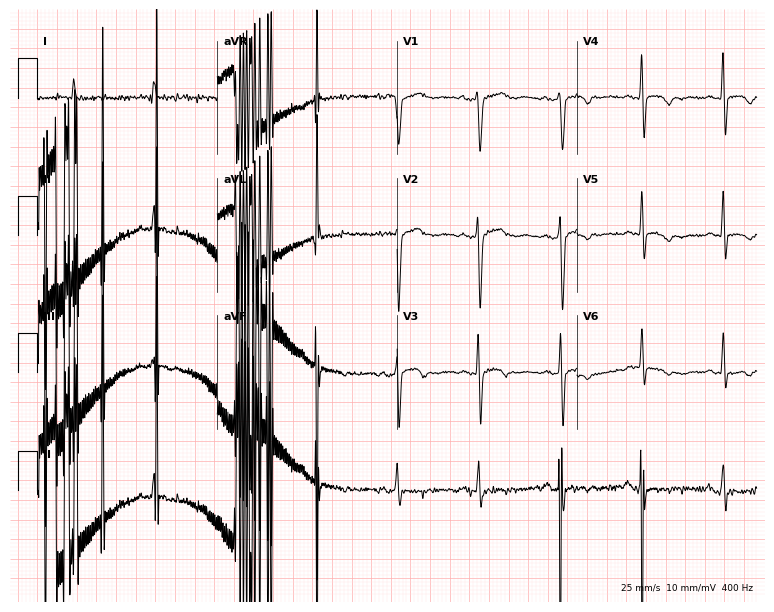
ECG (7.3-second recording at 400 Hz) — a 65-year-old female patient. Screened for six findings — first-degree AV block, right bundle branch block, left bundle branch block, sinus bradycardia, atrial fibrillation, sinus tachycardia — none is recorded. Findings outside these six are not listed.